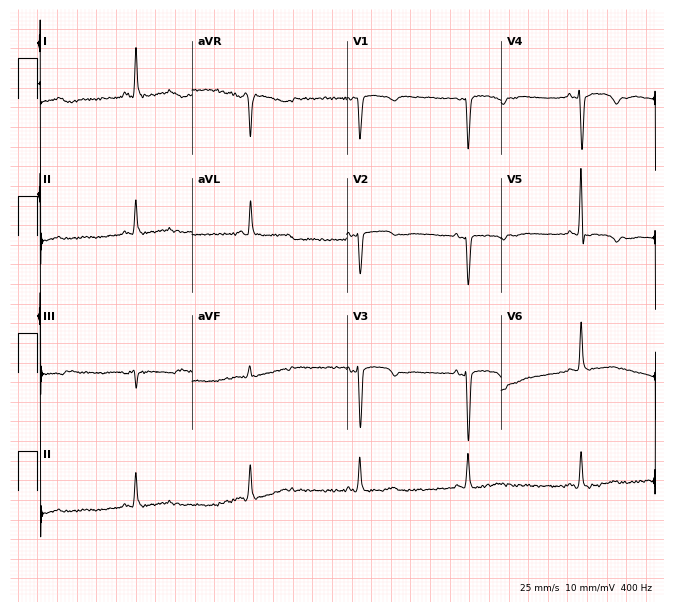
ECG (6.3-second recording at 400 Hz) — a female, 65 years old. Screened for six findings — first-degree AV block, right bundle branch block, left bundle branch block, sinus bradycardia, atrial fibrillation, sinus tachycardia — none is recorded.